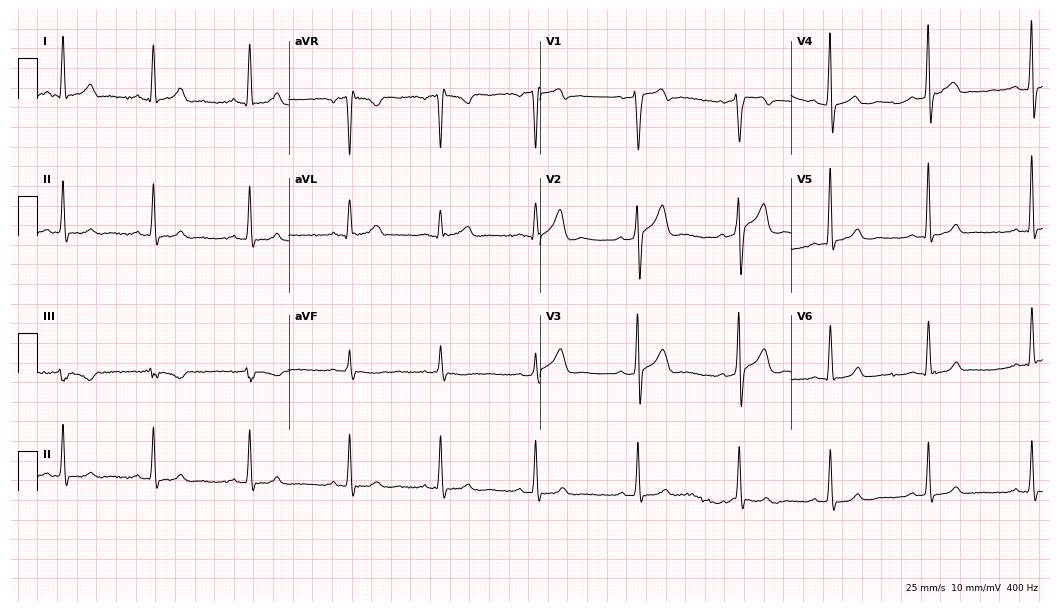
Resting 12-lead electrocardiogram. Patient: a 43-year-old male. Read as a normal ECG.